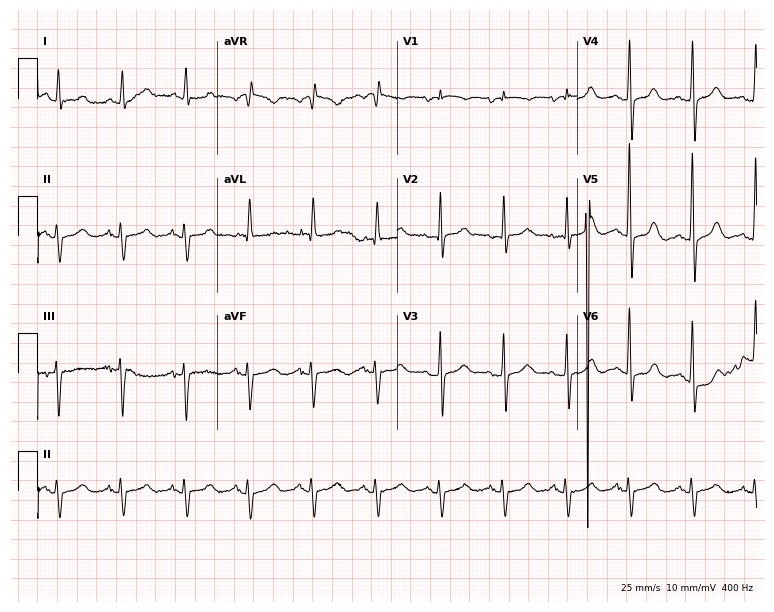
12-lead ECG from a man, 85 years old. Screened for six findings — first-degree AV block, right bundle branch block, left bundle branch block, sinus bradycardia, atrial fibrillation, sinus tachycardia — none is recorded.